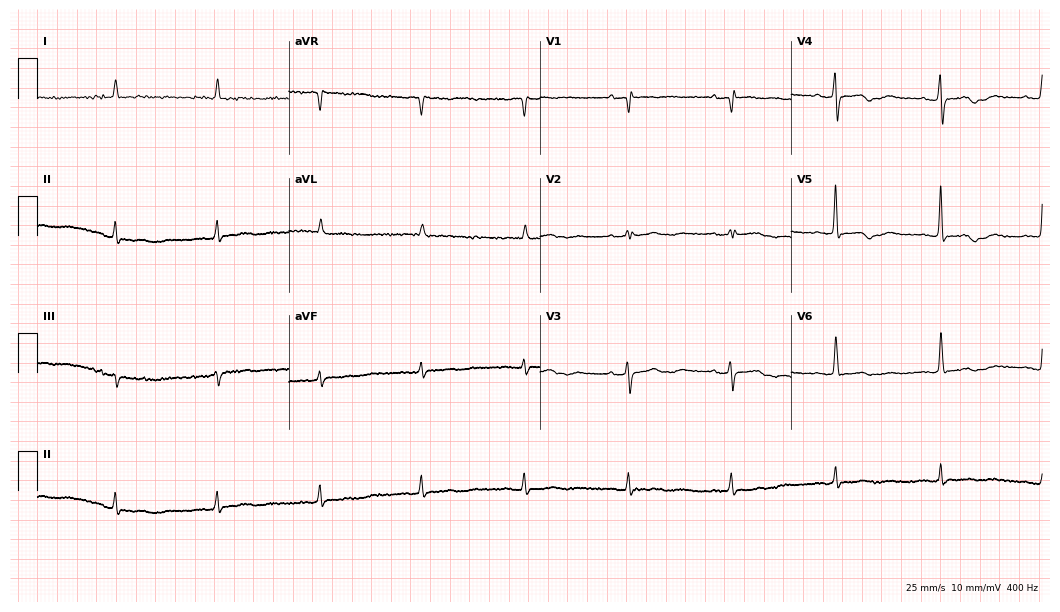
Electrocardiogram (10.2-second recording at 400 Hz), an 83-year-old female patient. Of the six screened findings (first-degree AV block, right bundle branch block, left bundle branch block, sinus bradycardia, atrial fibrillation, sinus tachycardia), none is recorded. Other findings, if any, are not listed.